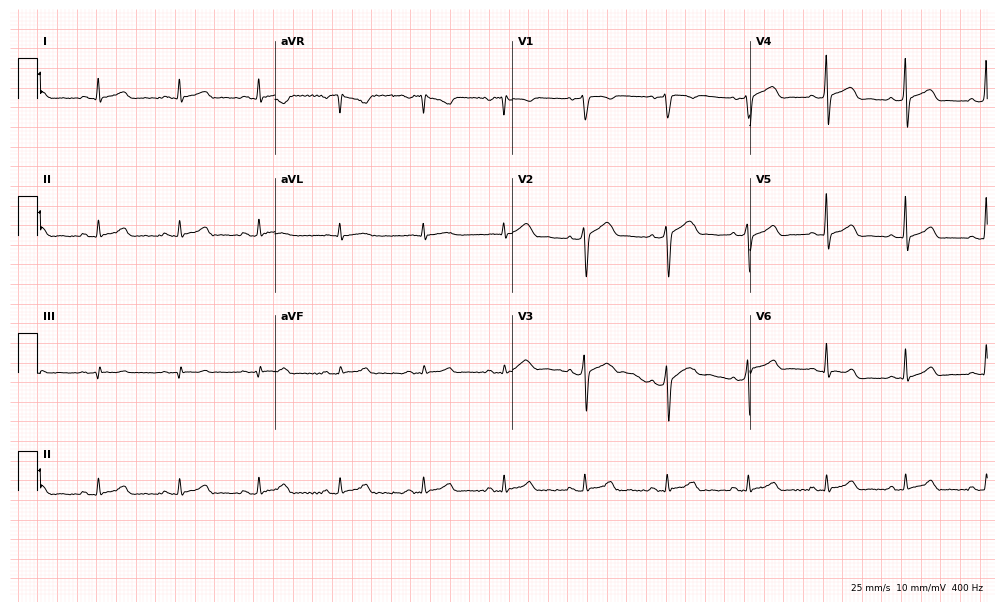
12-lead ECG from a 50-year-old man. Recorded interpretation: within normal limits.